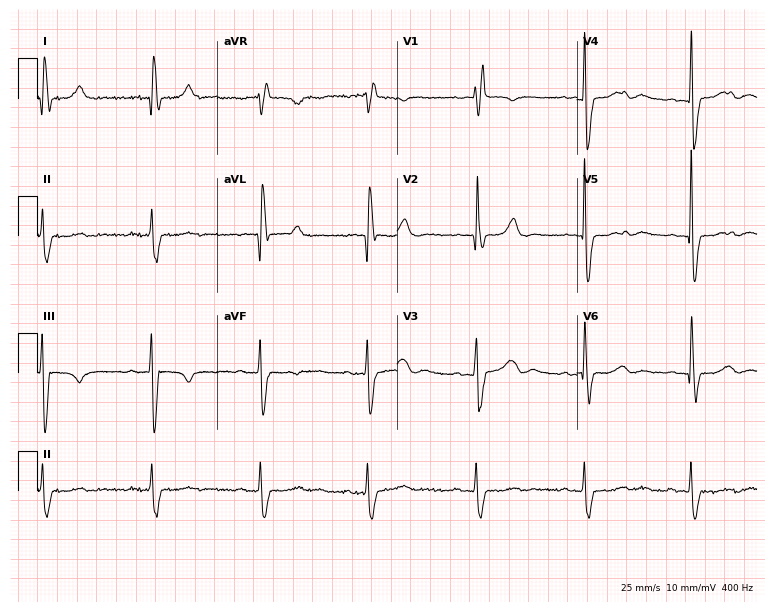
12-lead ECG from an 85-year-old female. Shows right bundle branch block.